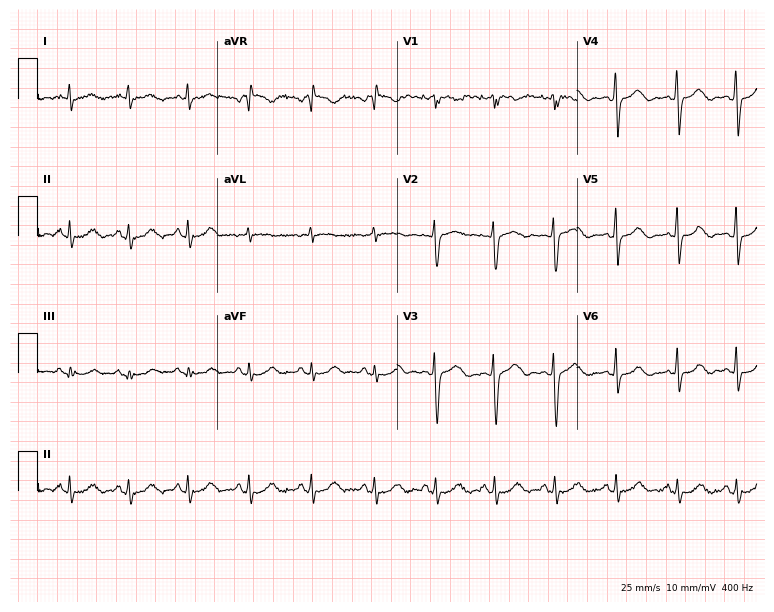
12-lead ECG from a 24-year-old woman. No first-degree AV block, right bundle branch block (RBBB), left bundle branch block (LBBB), sinus bradycardia, atrial fibrillation (AF) or sinus tachycardia recorded for this tracing. Only these six findings were labelled.